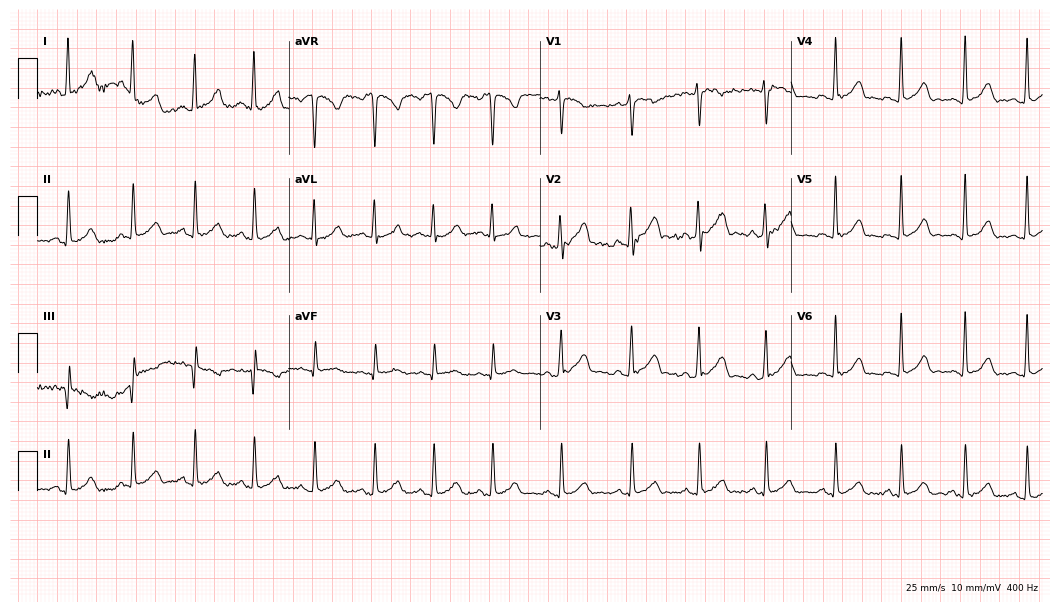
12-lead ECG from a woman, 20 years old. Labelled as a normal ECG.